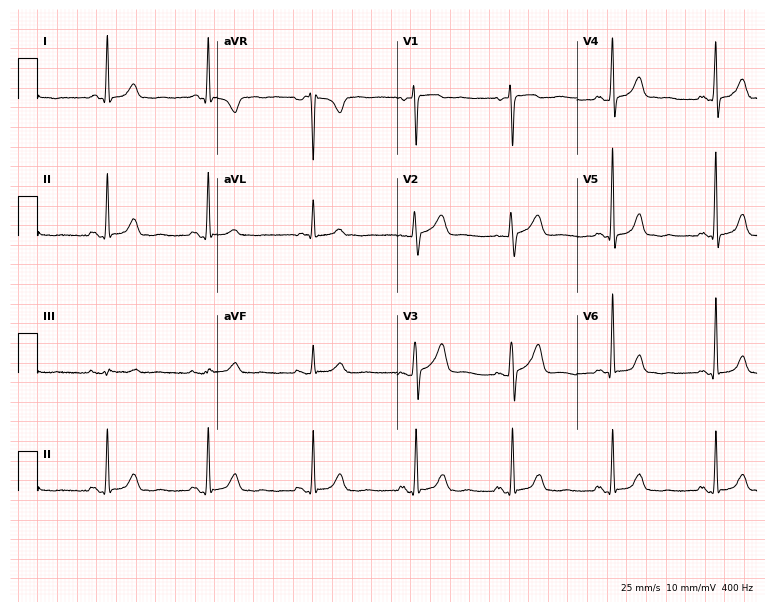
ECG (7.3-second recording at 400 Hz) — a female patient, 58 years old. Labelled as a normal ECG.